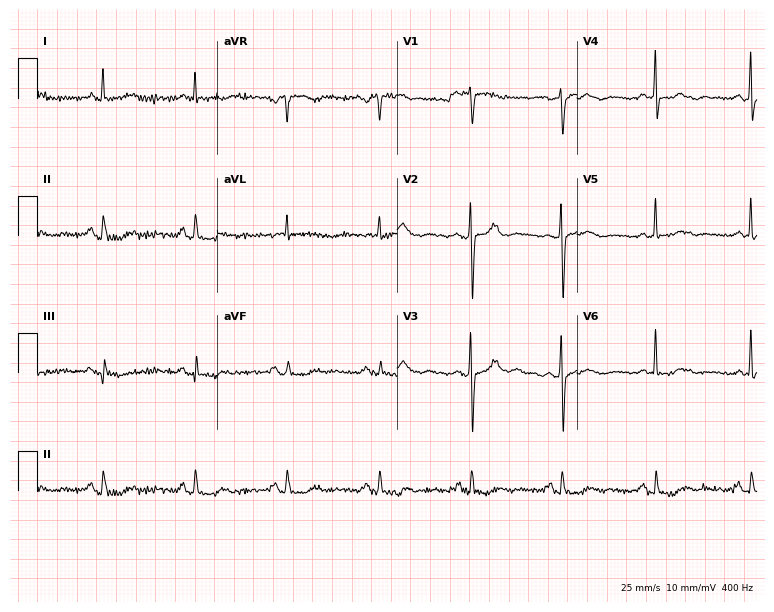
Resting 12-lead electrocardiogram. Patient: a woman, 78 years old. None of these six findings is recorded: first-degree AV block, right bundle branch block (RBBB), left bundle branch block (LBBB), sinus bradycardia, atrial fibrillation (AF), sinus tachycardia.